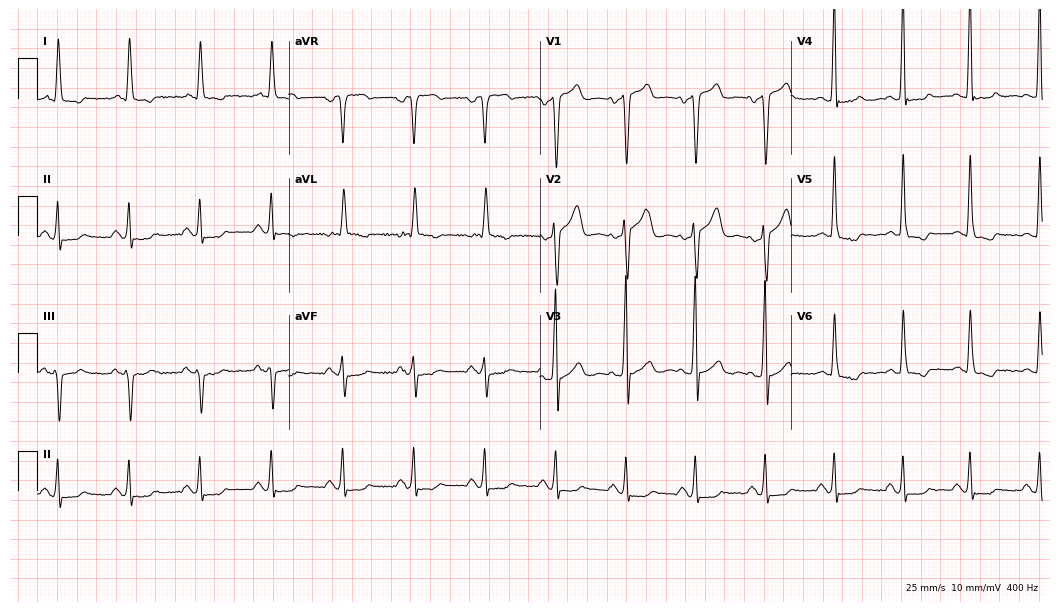
12-lead ECG (10.2-second recording at 400 Hz) from a male patient, 66 years old. Screened for six findings — first-degree AV block, right bundle branch block, left bundle branch block, sinus bradycardia, atrial fibrillation, sinus tachycardia — none is recorded. Other findings, if any, are not listed.